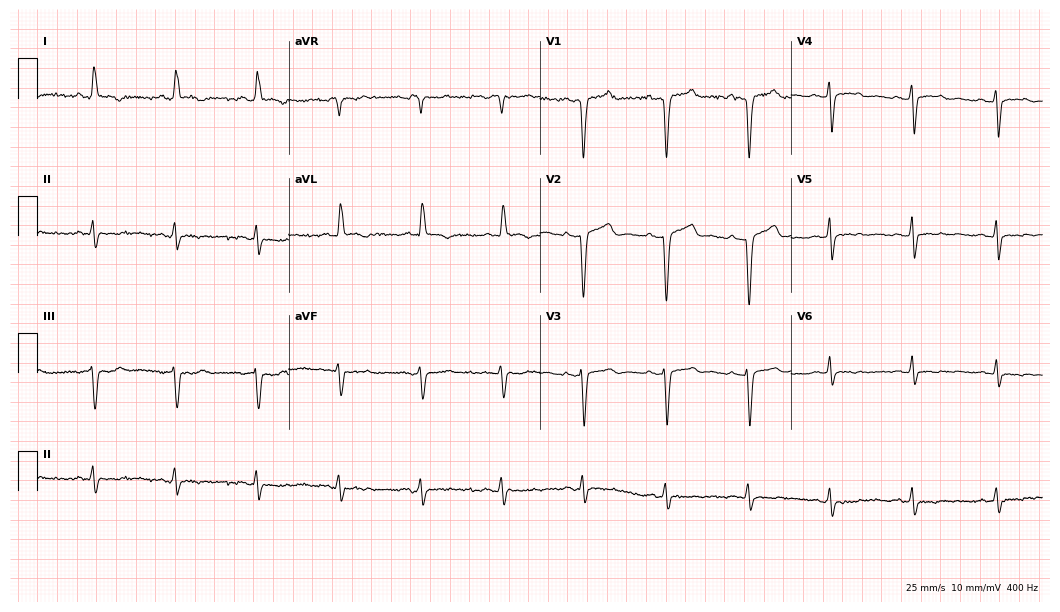
Standard 12-lead ECG recorded from a 50-year-old female patient. None of these six findings is recorded: first-degree AV block, right bundle branch block (RBBB), left bundle branch block (LBBB), sinus bradycardia, atrial fibrillation (AF), sinus tachycardia.